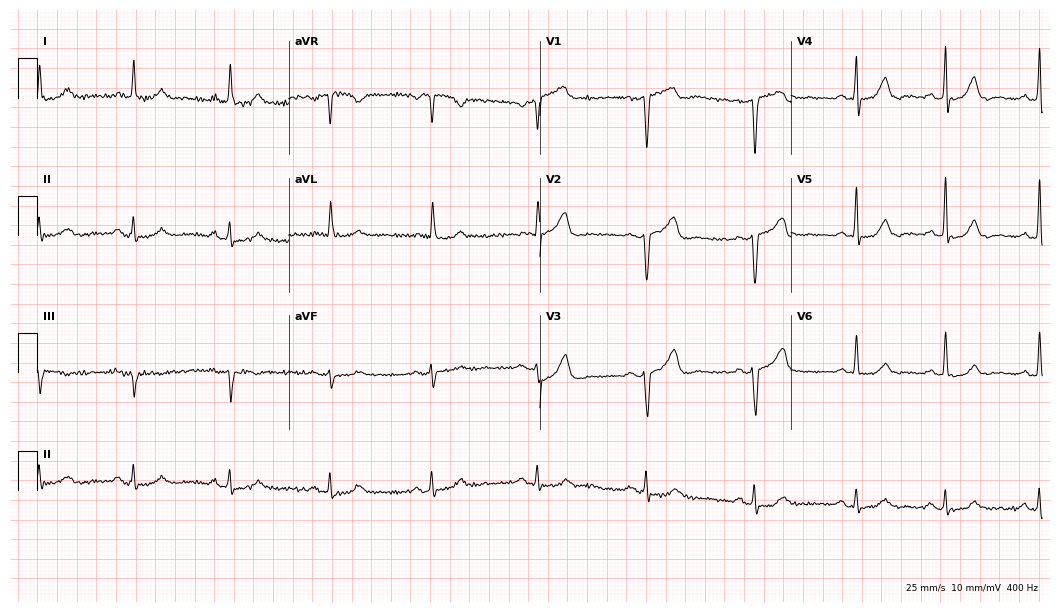
Resting 12-lead electrocardiogram. Patient: a female, 67 years old. Read as a normal ECG.